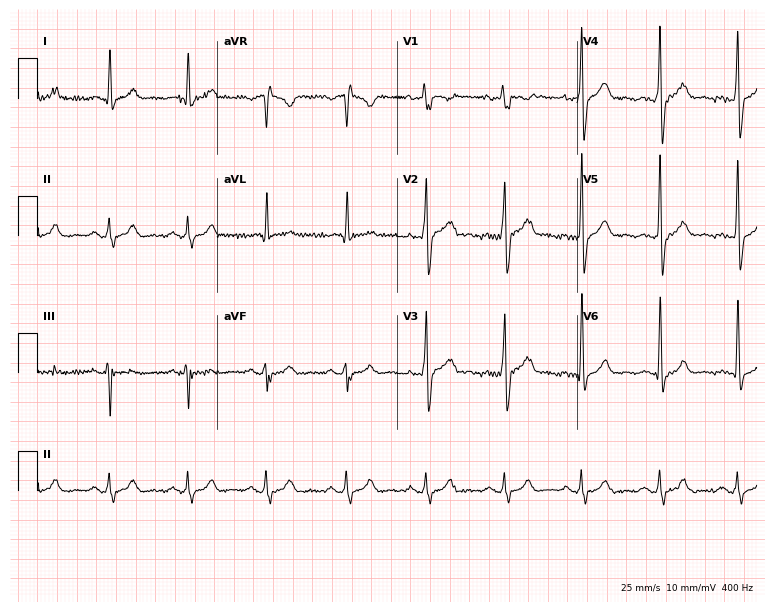
12-lead ECG (7.3-second recording at 400 Hz) from a male patient, 38 years old. Screened for six findings — first-degree AV block, right bundle branch block (RBBB), left bundle branch block (LBBB), sinus bradycardia, atrial fibrillation (AF), sinus tachycardia — none is recorded. Other findings, if any, are not listed.